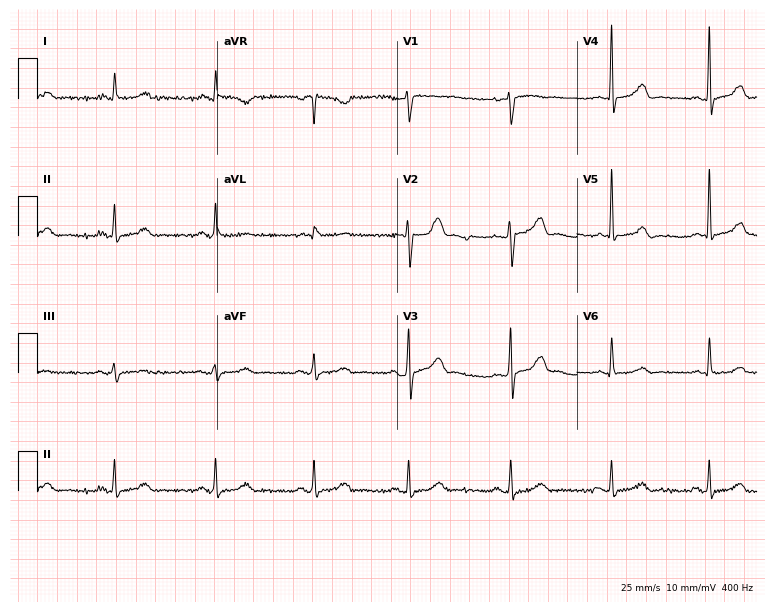
Electrocardiogram (7.3-second recording at 400 Hz), a 43-year-old male. Overall reading on record: normal ECG.